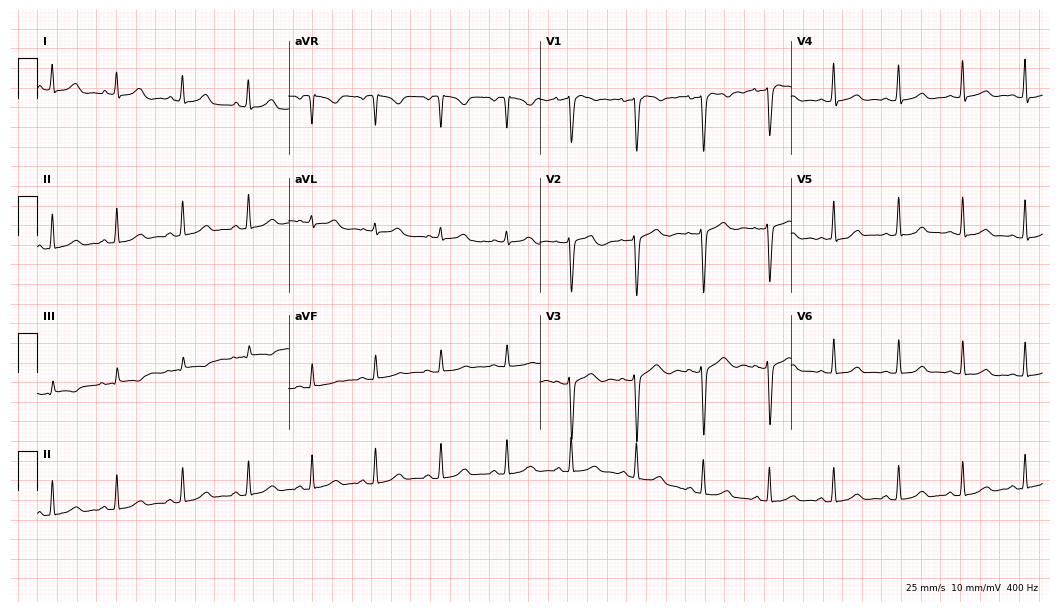
Electrocardiogram, a 23-year-old woman. Overall reading on record: normal ECG.